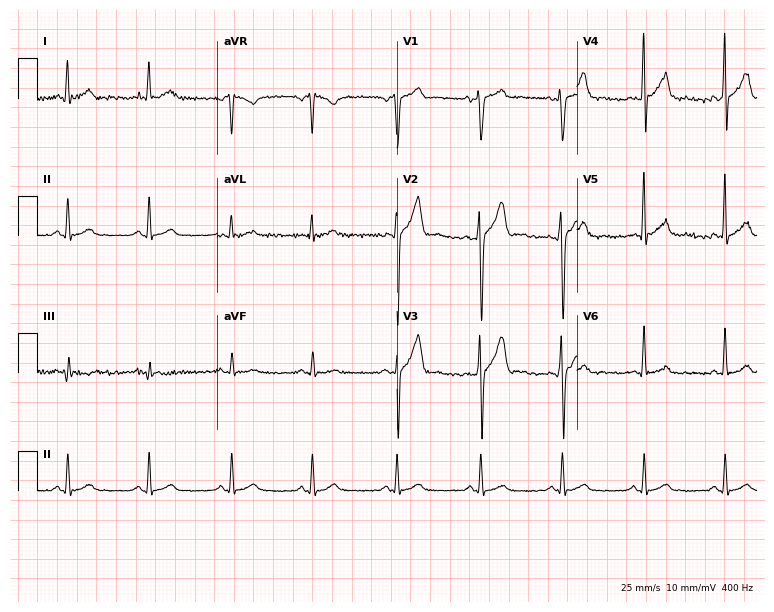
12-lead ECG from a man, 25 years old (7.3-second recording at 400 Hz). Recorded interpretation: within normal limits.